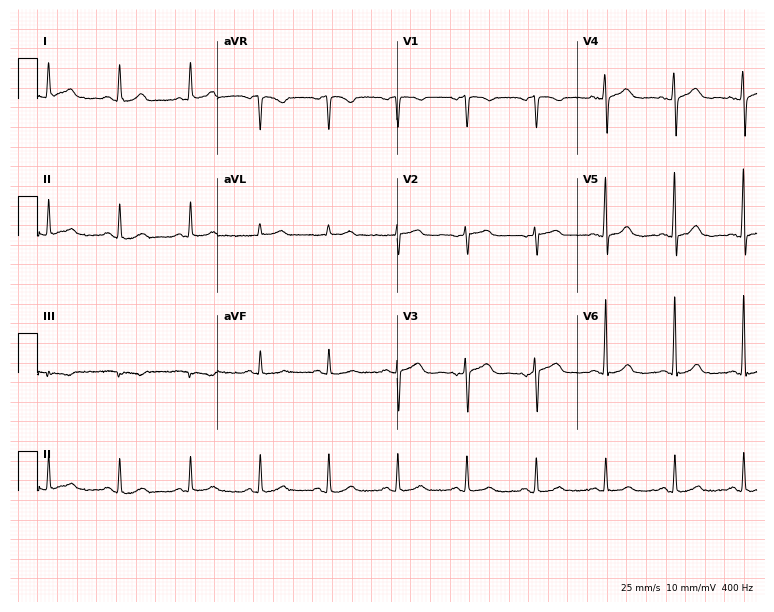
Resting 12-lead electrocardiogram. Patient: a female, 62 years old. Read as a normal ECG.